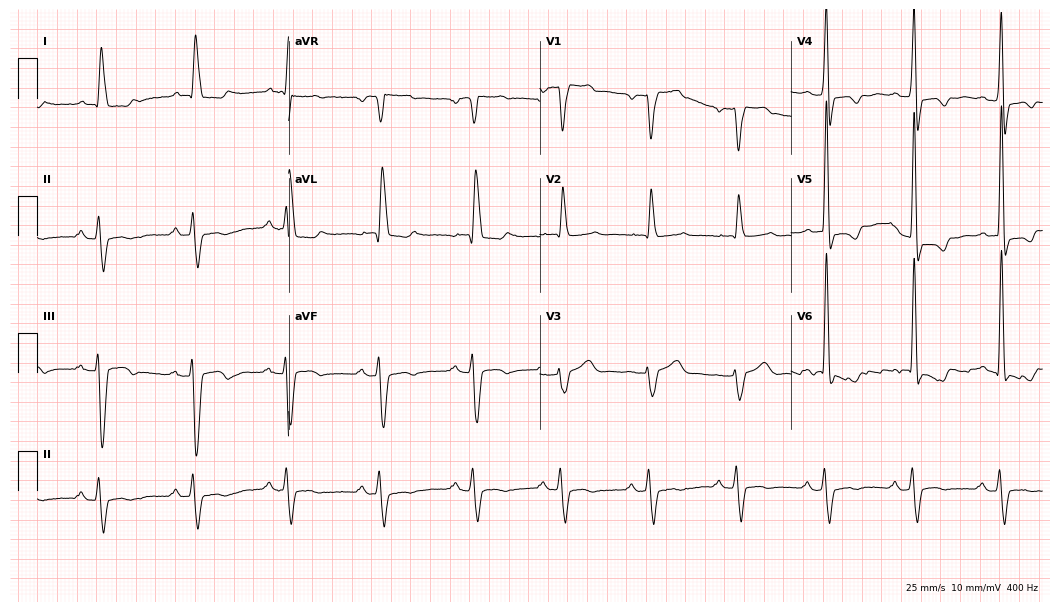
12-lead ECG from a male patient, 79 years old. Screened for six findings — first-degree AV block, right bundle branch block, left bundle branch block, sinus bradycardia, atrial fibrillation, sinus tachycardia — none is recorded. Other findings, if any, are not listed.